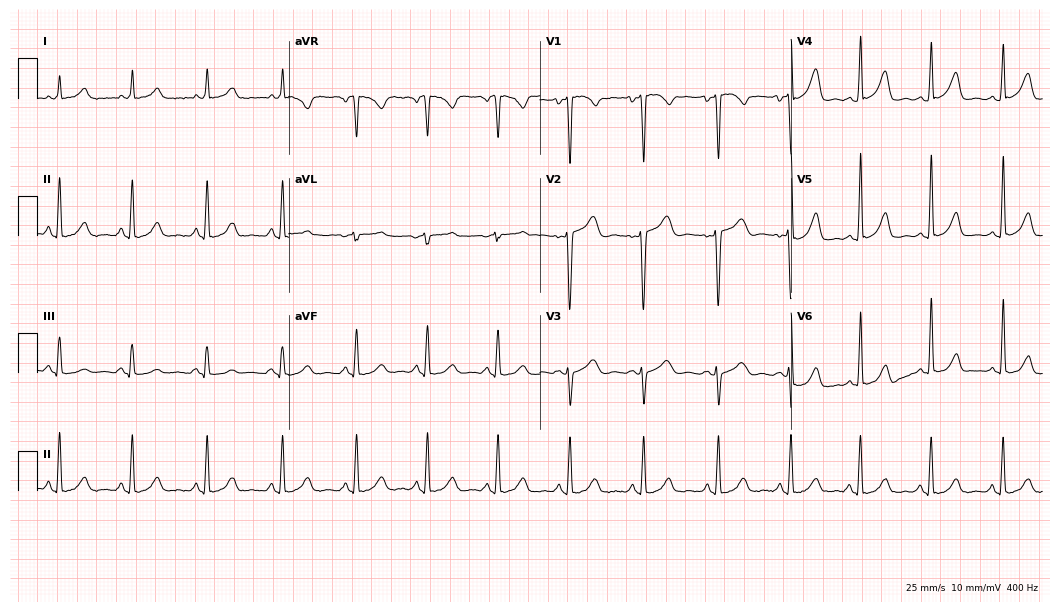
Standard 12-lead ECG recorded from a 38-year-old female (10.2-second recording at 400 Hz). Read as a normal ECG.